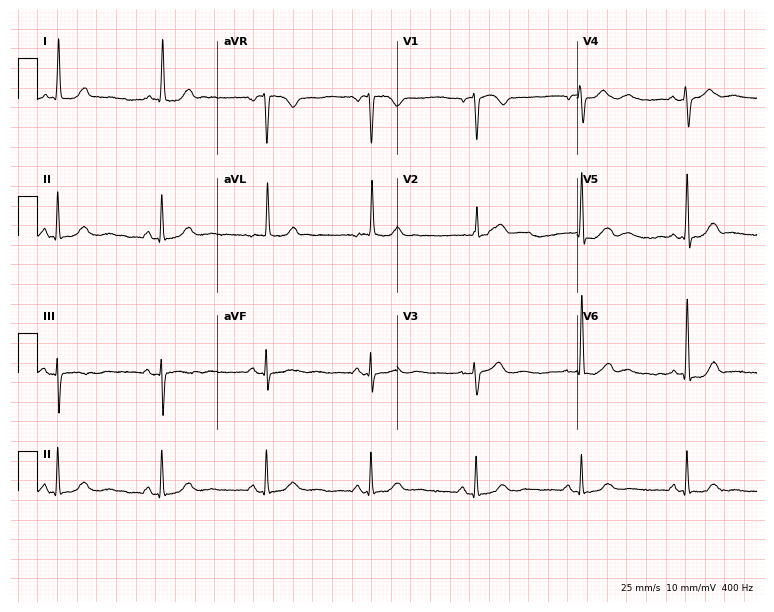
Resting 12-lead electrocardiogram (7.3-second recording at 400 Hz). Patient: a 73-year-old woman. None of these six findings is recorded: first-degree AV block, right bundle branch block, left bundle branch block, sinus bradycardia, atrial fibrillation, sinus tachycardia.